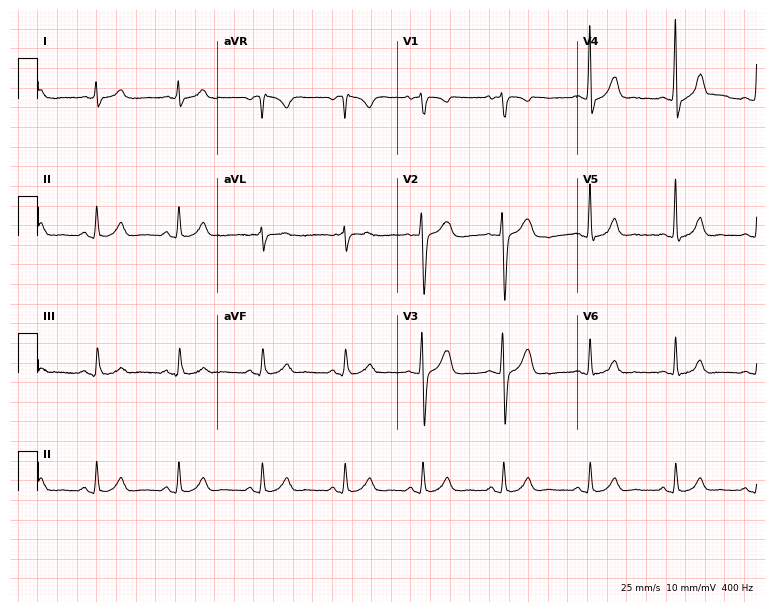
12-lead ECG from a male, 41 years old (7.3-second recording at 400 Hz). Recorded interpretation: within normal limits.